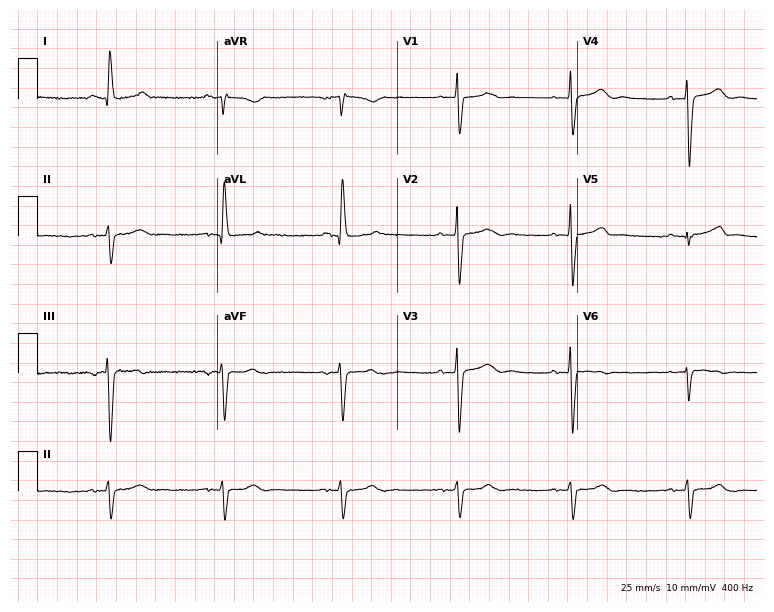
Resting 12-lead electrocardiogram. Patient: a woman, 67 years old. None of these six findings is recorded: first-degree AV block, right bundle branch block, left bundle branch block, sinus bradycardia, atrial fibrillation, sinus tachycardia. Findings outside these six are not listed.